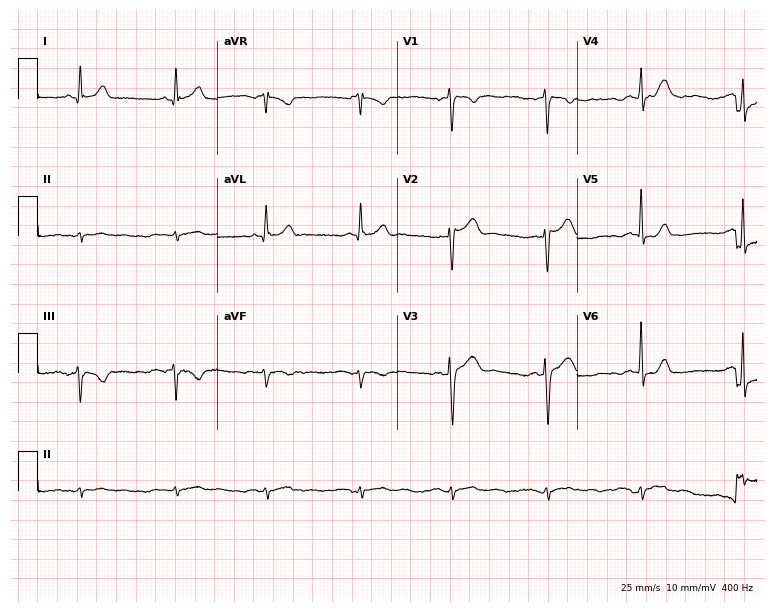
Standard 12-lead ECG recorded from a male, 27 years old. None of these six findings is recorded: first-degree AV block, right bundle branch block, left bundle branch block, sinus bradycardia, atrial fibrillation, sinus tachycardia. Findings outside these six are not listed.